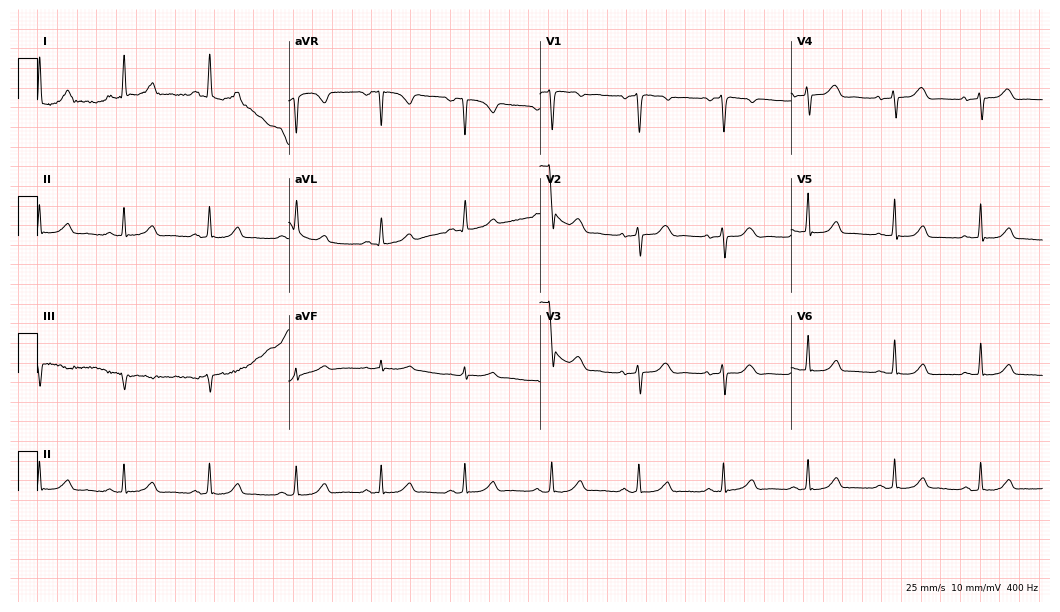
12-lead ECG (10.2-second recording at 400 Hz) from a woman, 59 years old. Labelled as a normal ECG.